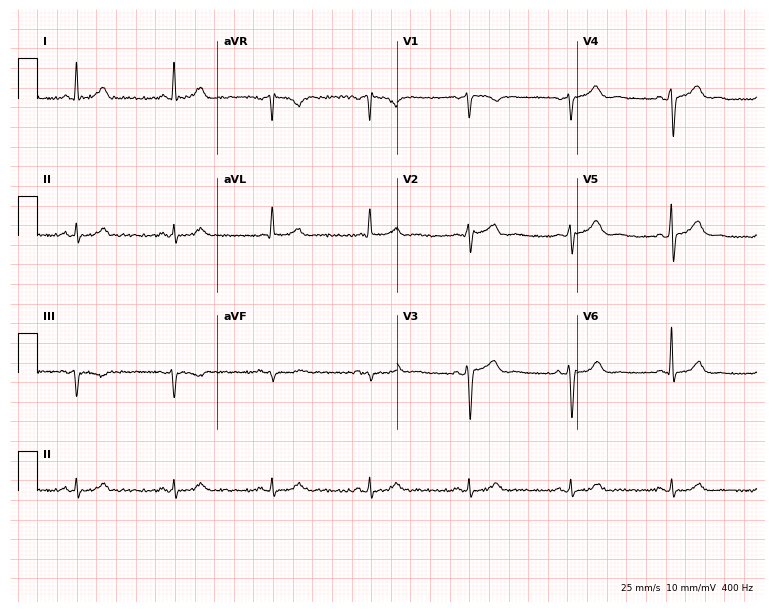
Electrocardiogram, a male, 68 years old. Overall reading on record: normal ECG.